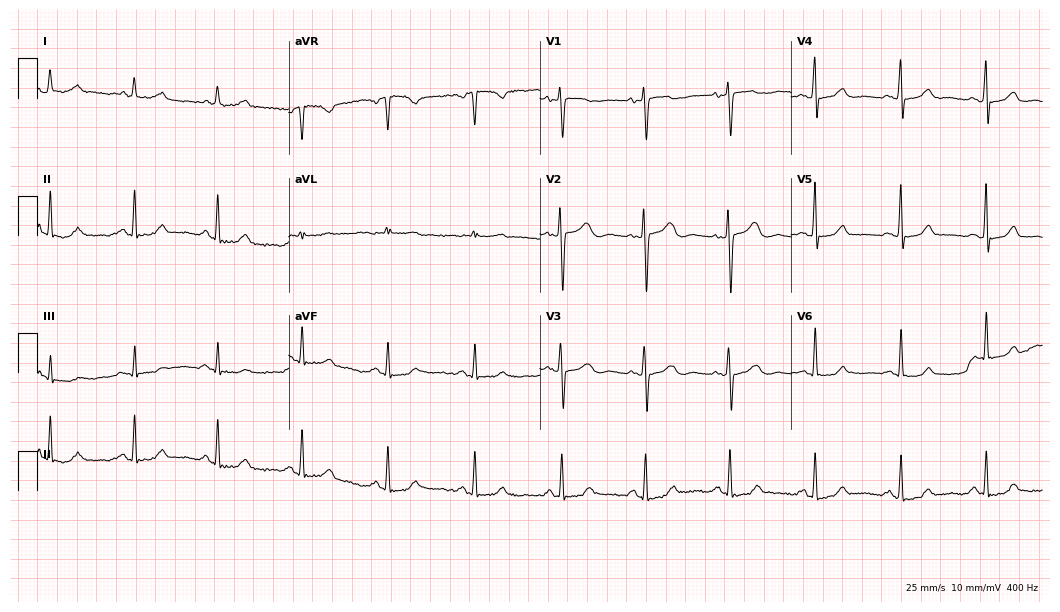
12-lead ECG from a woman, 45 years old. No first-degree AV block, right bundle branch block, left bundle branch block, sinus bradycardia, atrial fibrillation or sinus tachycardia recorded for this tracing. Findings outside these six are not listed.